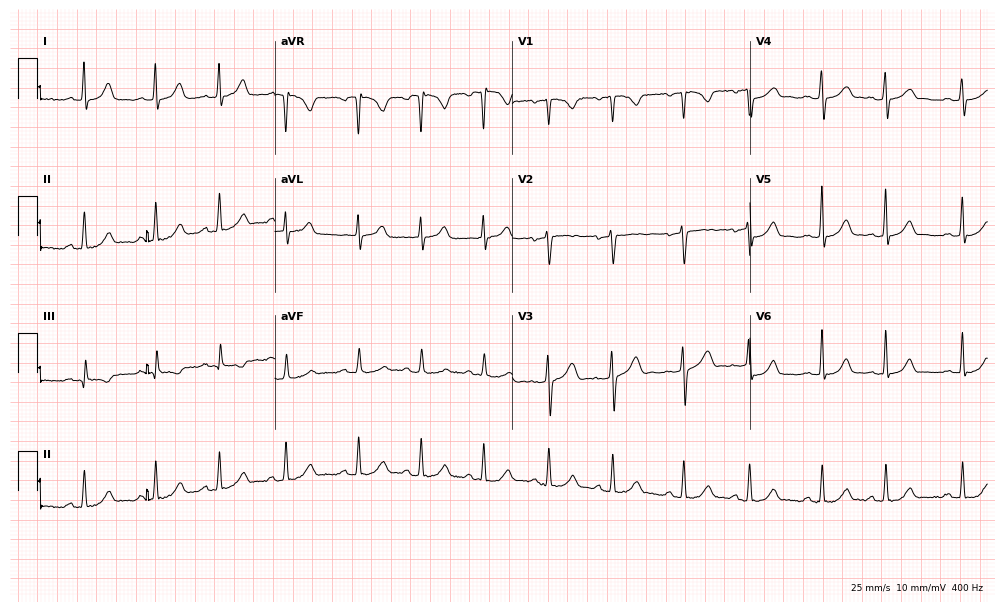
Electrocardiogram, a 24-year-old woman. Overall reading on record: normal ECG.